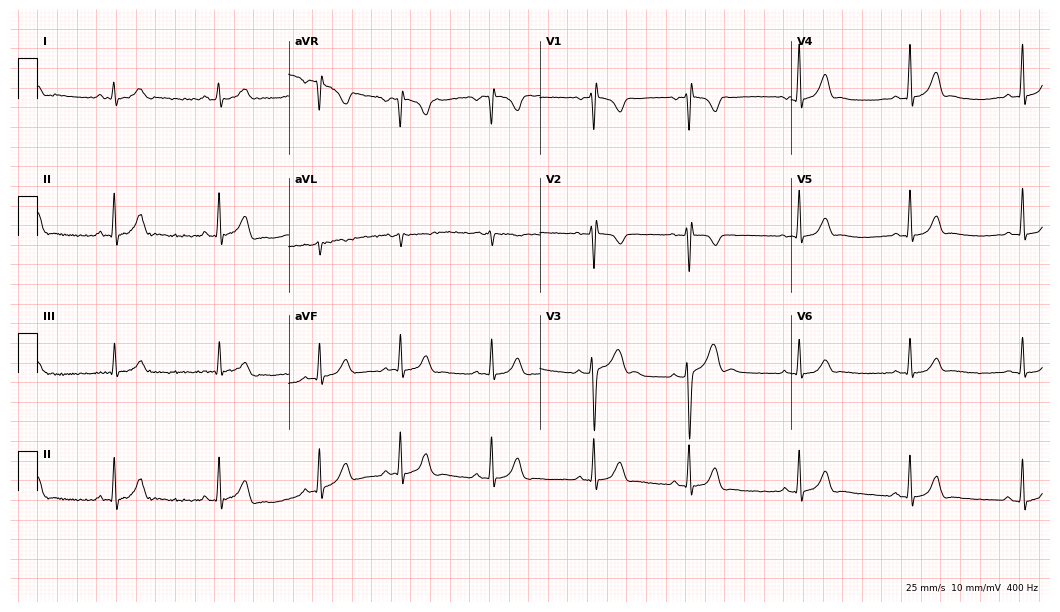
ECG — a 17-year-old man. Screened for six findings — first-degree AV block, right bundle branch block (RBBB), left bundle branch block (LBBB), sinus bradycardia, atrial fibrillation (AF), sinus tachycardia — none is recorded. Other findings, if any, are not listed.